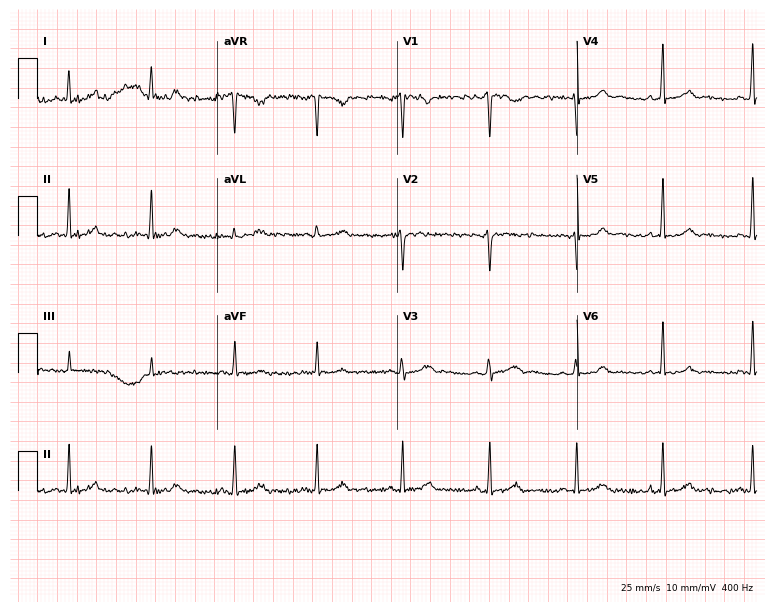
Electrocardiogram, a female patient, 17 years old. Overall reading on record: normal ECG.